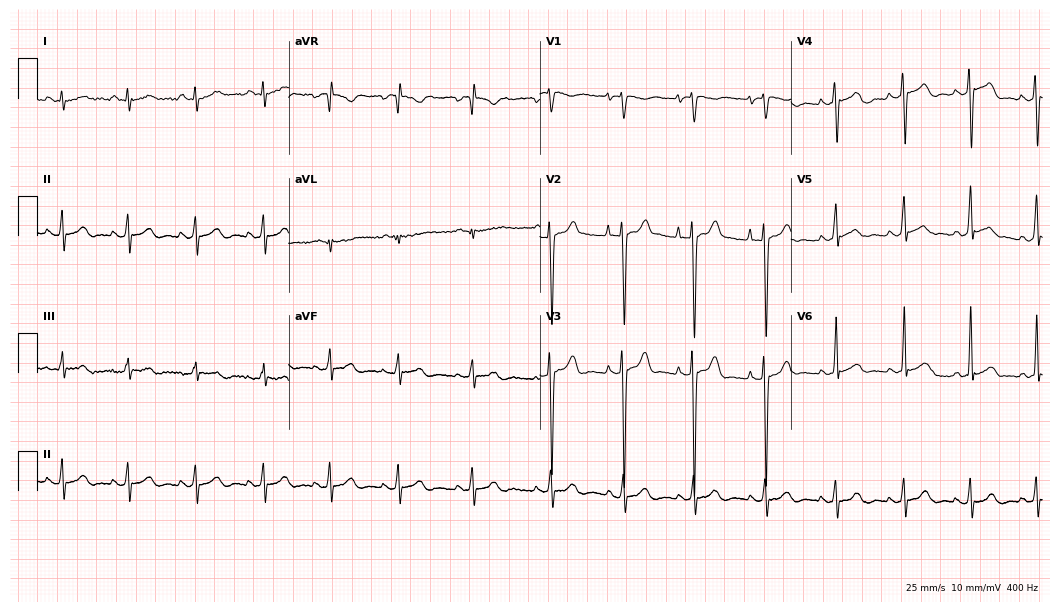
12-lead ECG from a 17-year-old male. Recorded interpretation: within normal limits.